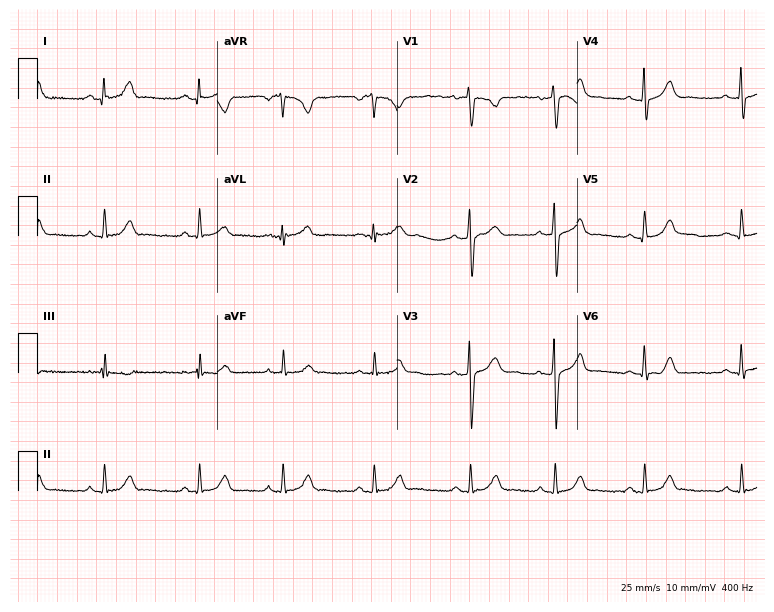
12-lead ECG (7.3-second recording at 400 Hz) from a 21-year-old woman. Labelled as a normal ECG.